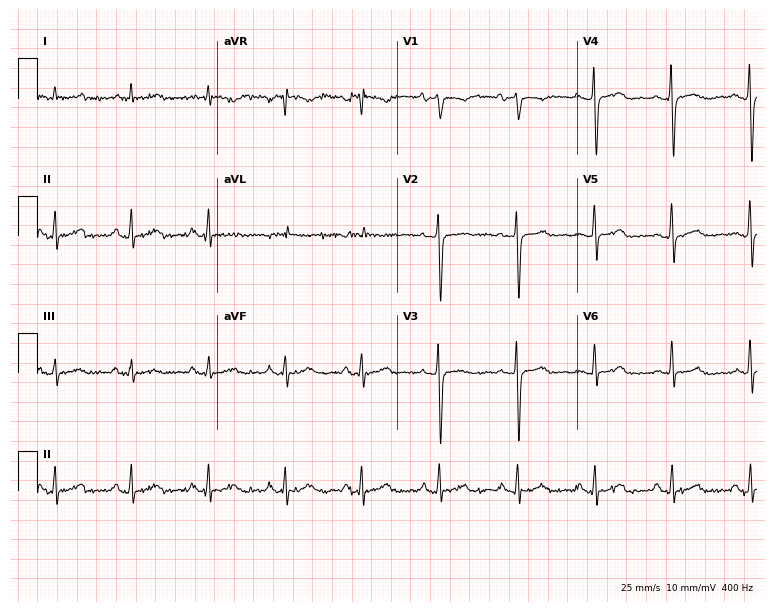
12-lead ECG from a female, 67 years old (7.3-second recording at 400 Hz). No first-degree AV block, right bundle branch block, left bundle branch block, sinus bradycardia, atrial fibrillation or sinus tachycardia recorded for this tracing.